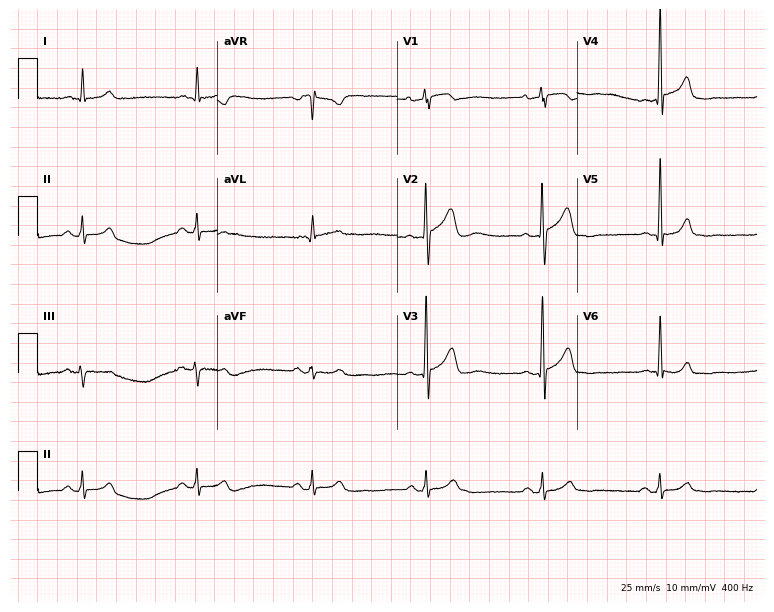
Standard 12-lead ECG recorded from a 67-year-old male patient (7.3-second recording at 400 Hz). Read as a normal ECG.